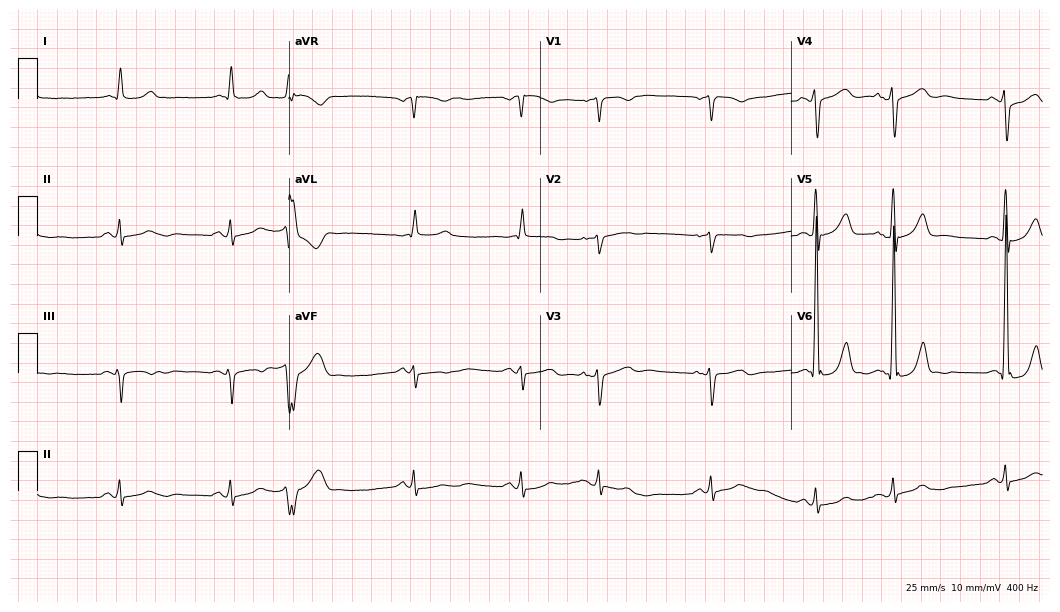
Standard 12-lead ECG recorded from a 74-year-old male patient. None of these six findings is recorded: first-degree AV block, right bundle branch block, left bundle branch block, sinus bradycardia, atrial fibrillation, sinus tachycardia.